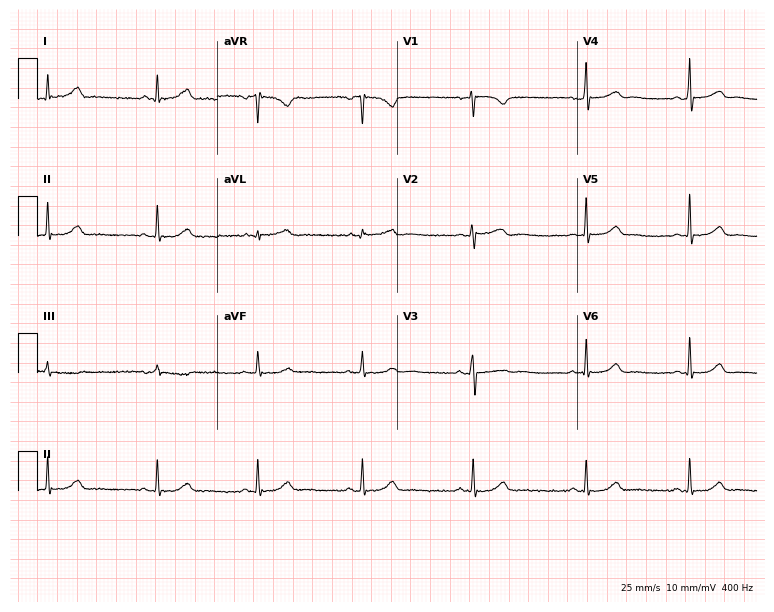
Electrocardiogram, a 46-year-old female patient. Overall reading on record: normal ECG.